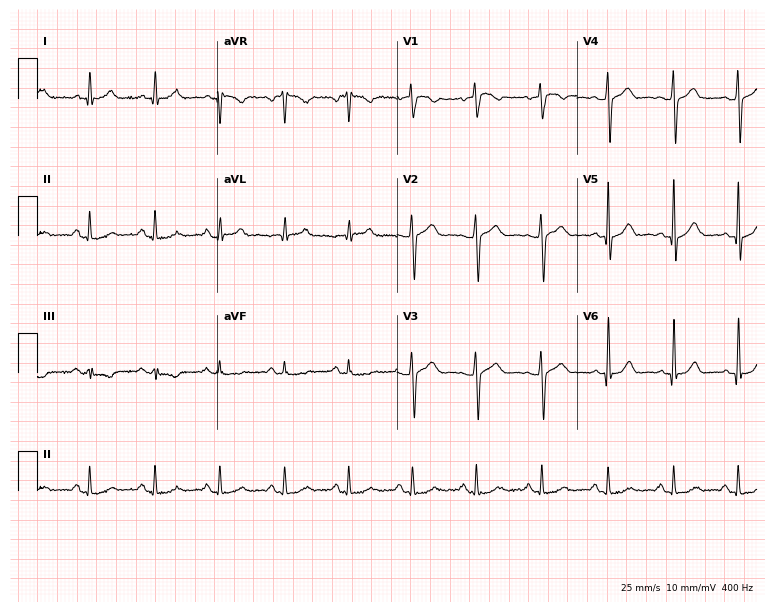
Standard 12-lead ECG recorded from a female, 49 years old (7.3-second recording at 400 Hz). None of these six findings is recorded: first-degree AV block, right bundle branch block, left bundle branch block, sinus bradycardia, atrial fibrillation, sinus tachycardia. Only these six findings were labelled.